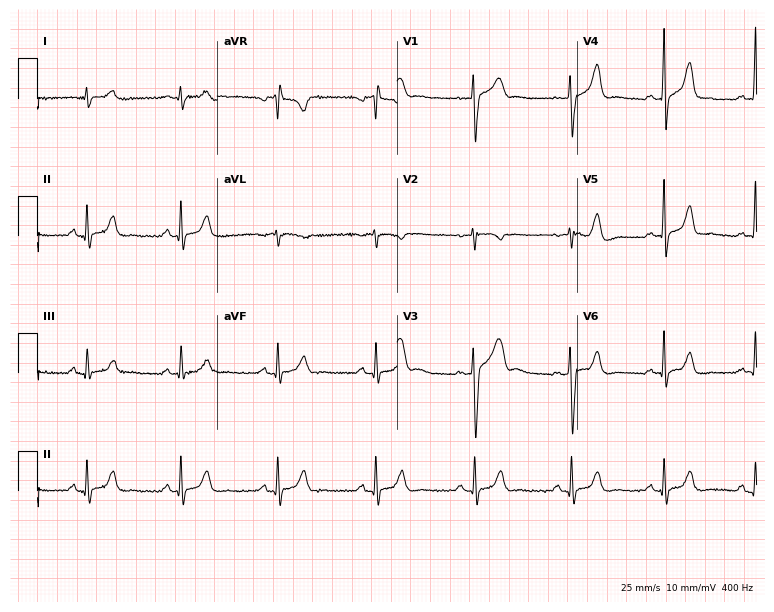
Standard 12-lead ECG recorded from a 64-year-old male. Read as a normal ECG.